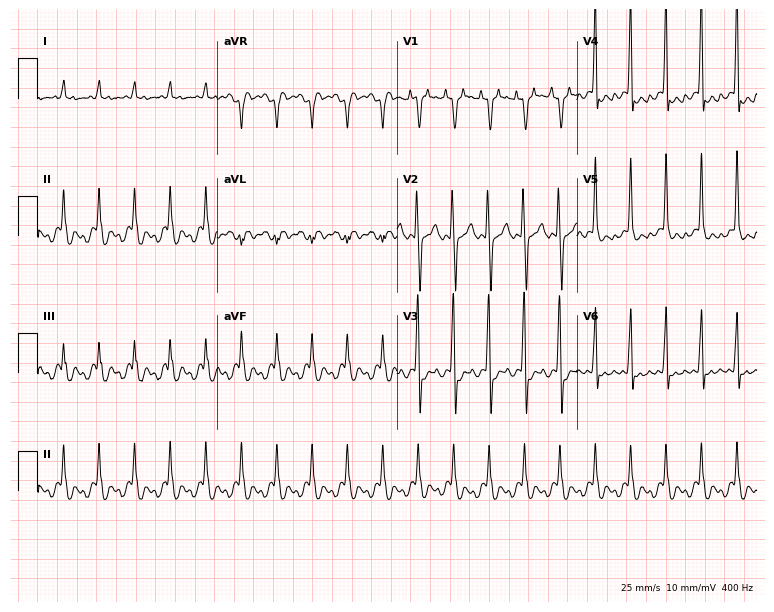
Electrocardiogram (7.3-second recording at 400 Hz), a 78-year-old male patient. Of the six screened findings (first-degree AV block, right bundle branch block (RBBB), left bundle branch block (LBBB), sinus bradycardia, atrial fibrillation (AF), sinus tachycardia), none is recorded. Only these six findings were labelled.